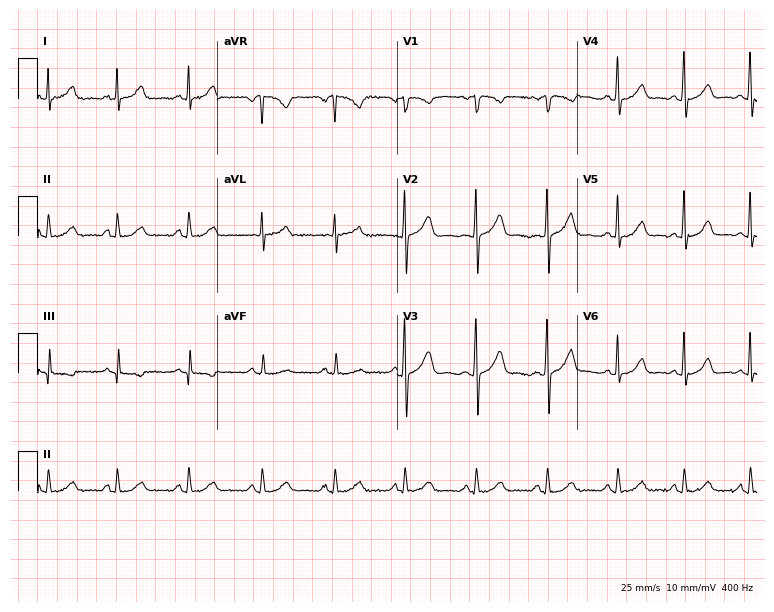
12-lead ECG from a 30-year-old female. Labelled as a normal ECG.